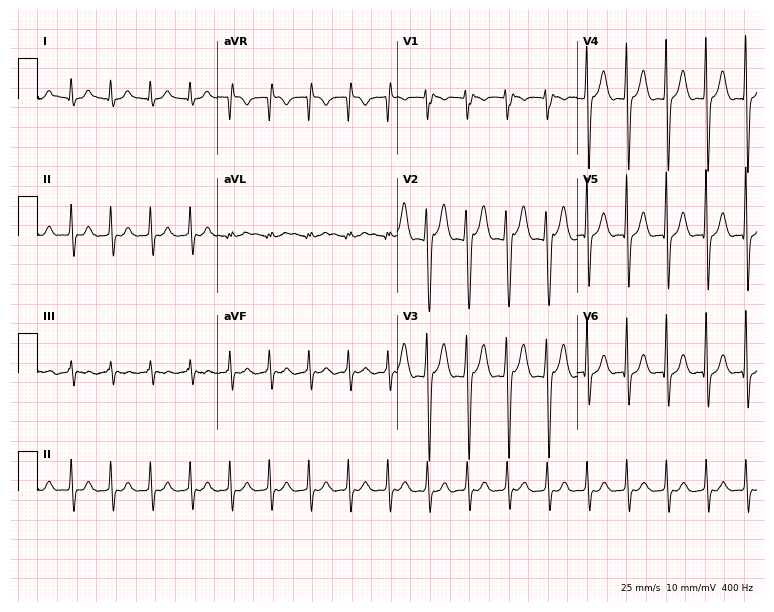
12-lead ECG from a 23-year-old male patient. Shows atrial fibrillation.